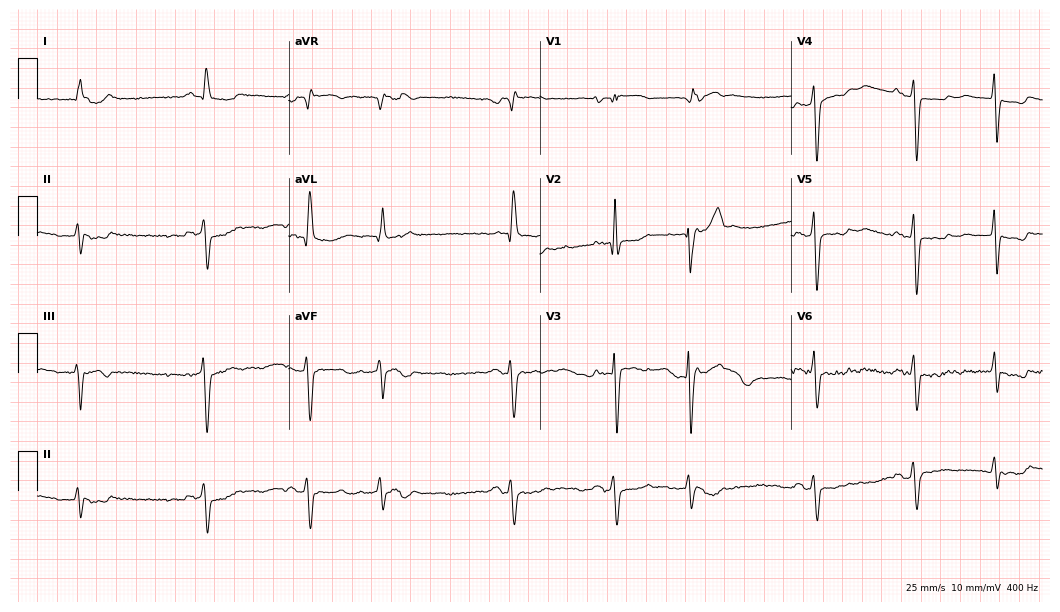
Resting 12-lead electrocardiogram (10.2-second recording at 400 Hz). Patient: a 77-year-old female. None of these six findings is recorded: first-degree AV block, right bundle branch block, left bundle branch block, sinus bradycardia, atrial fibrillation, sinus tachycardia. Only these six findings were labelled.